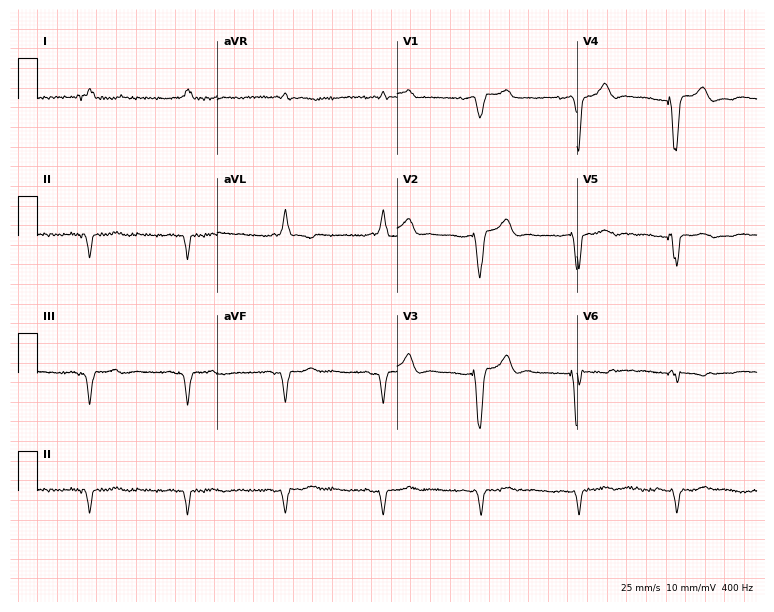
Electrocardiogram (7.3-second recording at 400 Hz), a 76-year-old female patient. Of the six screened findings (first-degree AV block, right bundle branch block (RBBB), left bundle branch block (LBBB), sinus bradycardia, atrial fibrillation (AF), sinus tachycardia), none is recorded. Other findings, if any, are not listed.